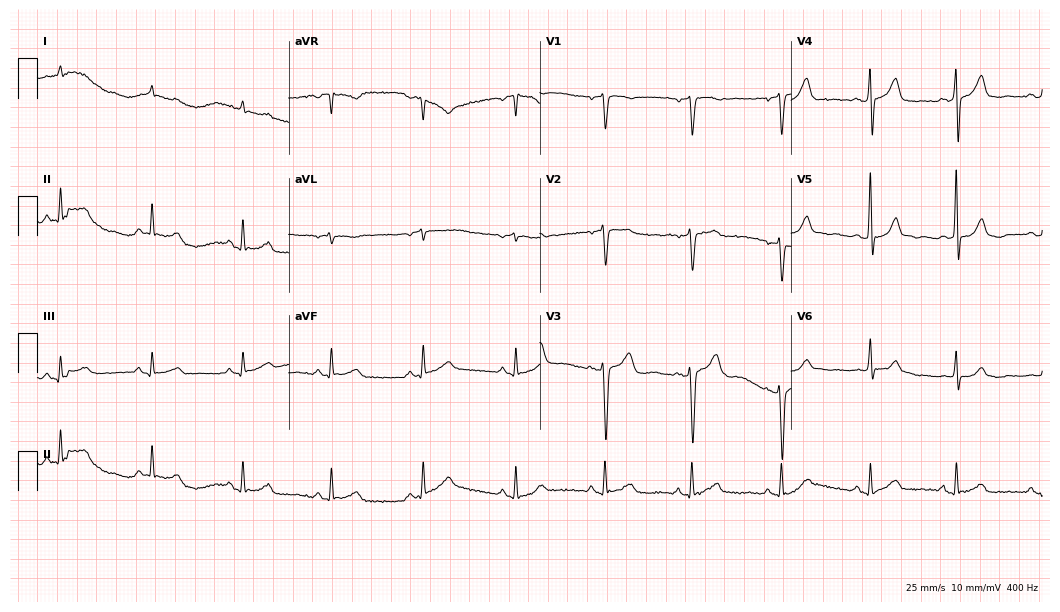
Standard 12-lead ECG recorded from a 75-year-old man. Read as a normal ECG.